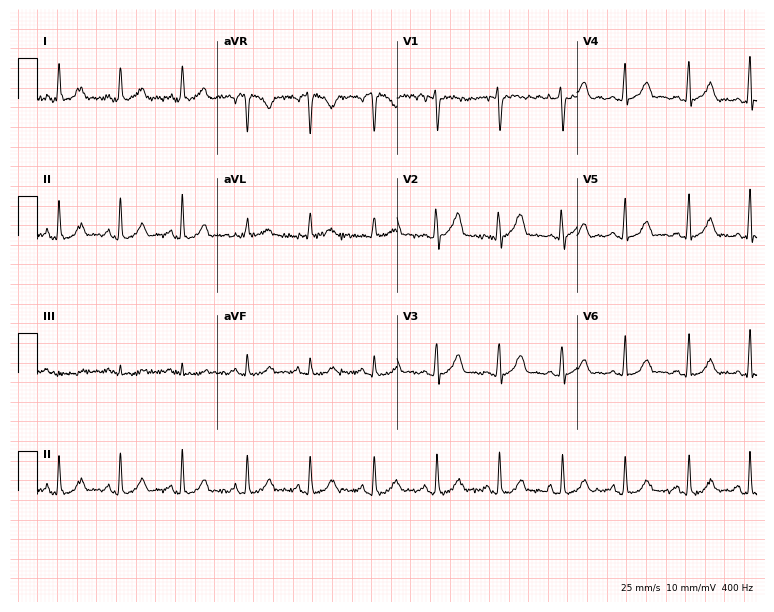
12-lead ECG (7.3-second recording at 400 Hz) from a female patient, 26 years old. Screened for six findings — first-degree AV block, right bundle branch block, left bundle branch block, sinus bradycardia, atrial fibrillation, sinus tachycardia — none is recorded. Other findings, if any, are not listed.